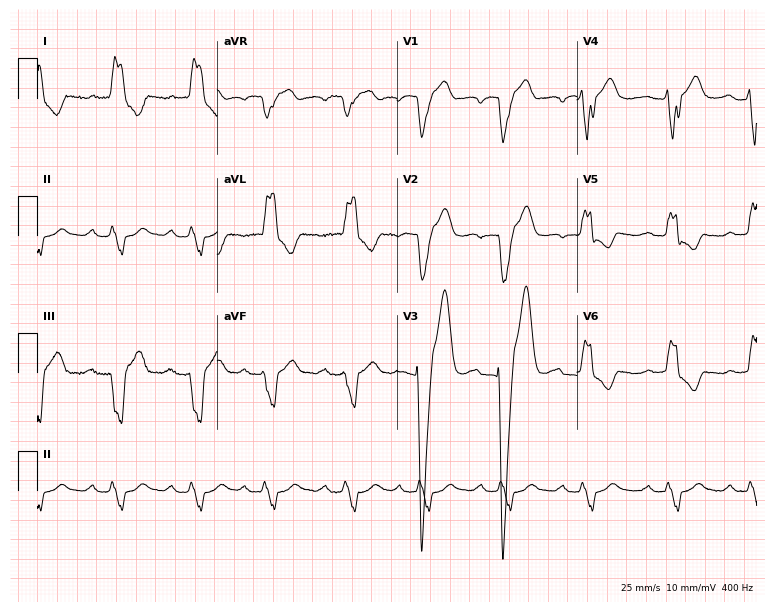
Electrocardiogram (7.3-second recording at 400 Hz), a female patient, 75 years old. Interpretation includes first-degree AV block, left bundle branch block (LBBB).